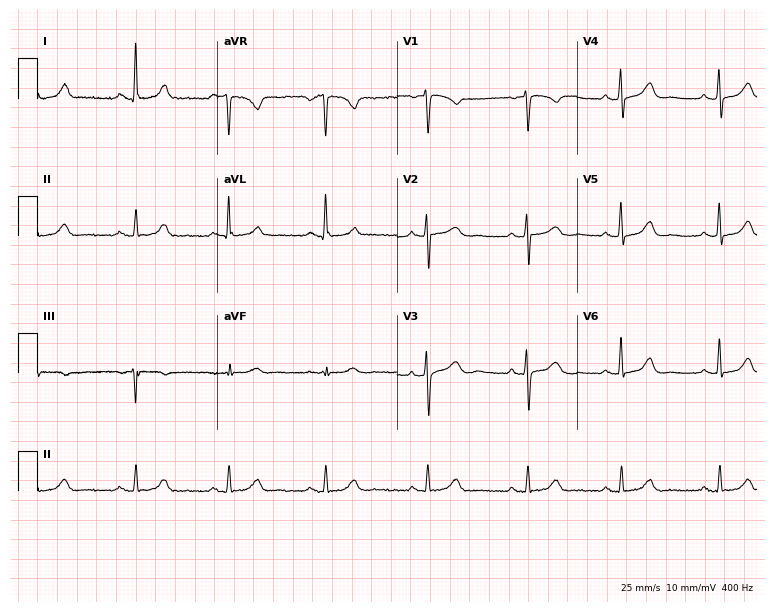
12-lead ECG from a 44-year-old woman. Screened for six findings — first-degree AV block, right bundle branch block, left bundle branch block, sinus bradycardia, atrial fibrillation, sinus tachycardia — none is recorded. Findings outside these six are not listed.